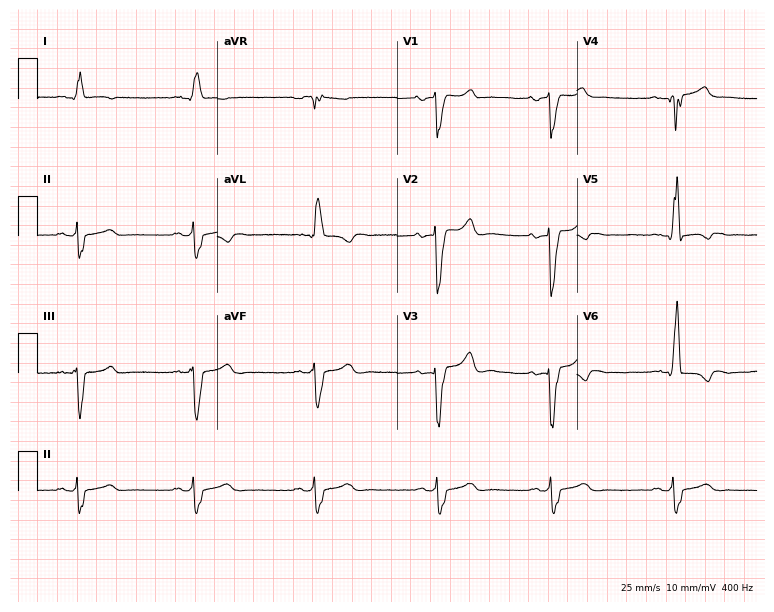
12-lead ECG from a male patient, 19 years old. Shows left bundle branch block (LBBB).